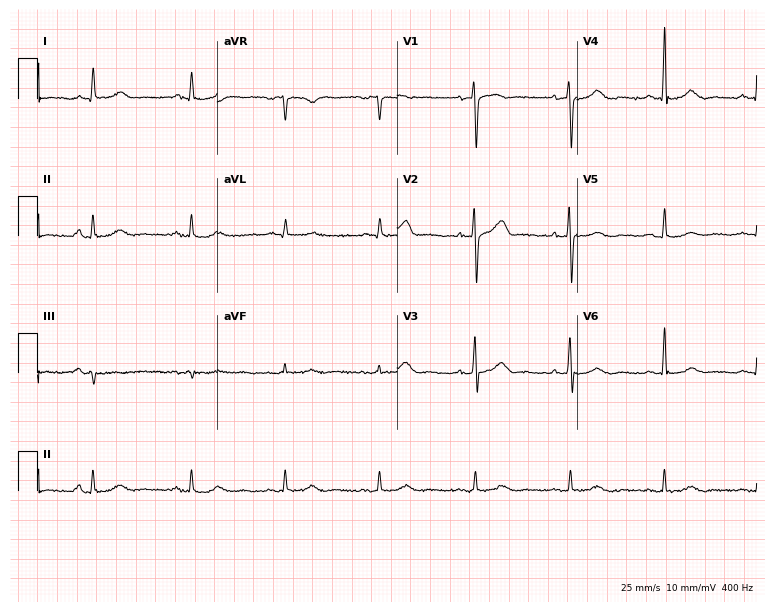
12-lead ECG (7.3-second recording at 400 Hz) from a male, 72 years old. Labelled as a normal ECG.